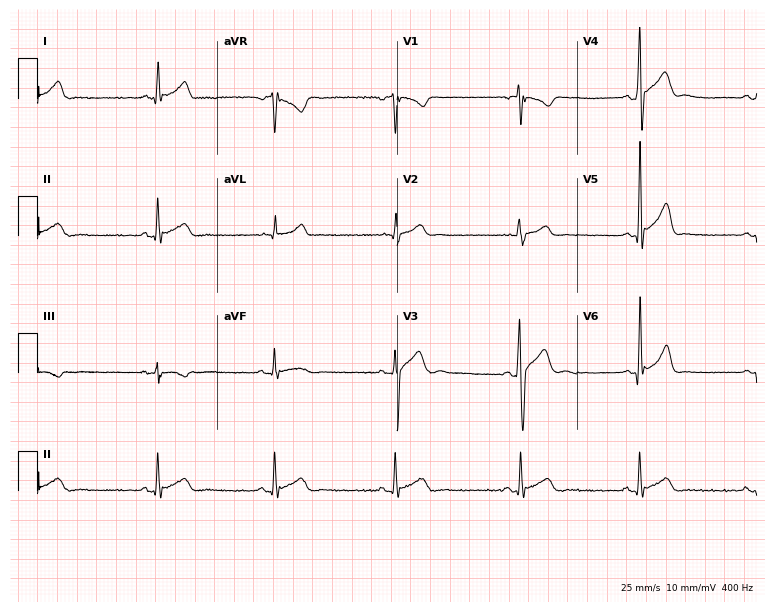
Standard 12-lead ECG recorded from a 24-year-old male patient. Read as a normal ECG.